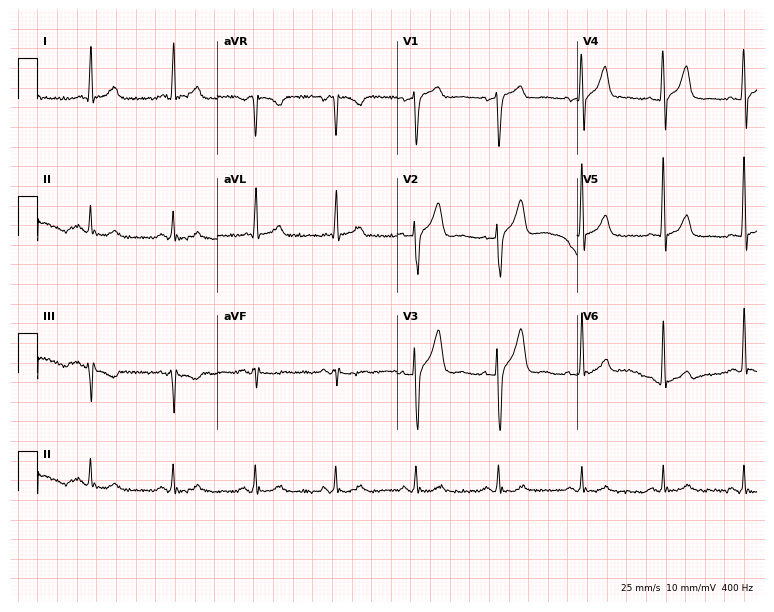
12-lead ECG from a male patient, 50 years old (7.3-second recording at 400 Hz). Recorded interpretation: within normal limits.